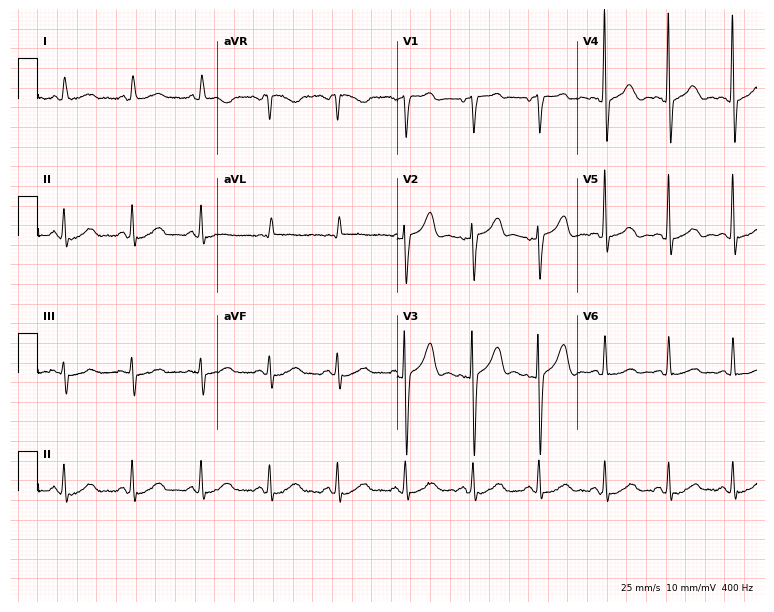
12-lead ECG from a woman, 63 years old. Recorded interpretation: within normal limits.